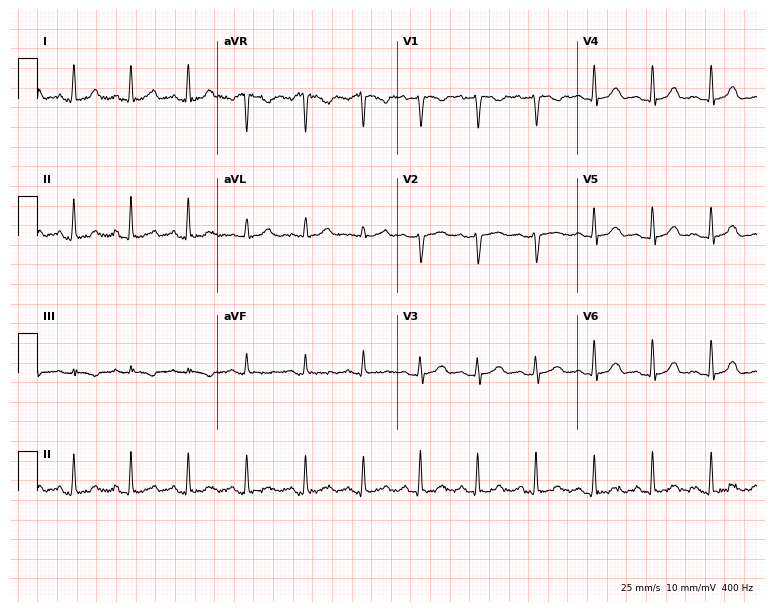
12-lead ECG (7.3-second recording at 400 Hz) from a female, 39 years old. Screened for six findings — first-degree AV block, right bundle branch block (RBBB), left bundle branch block (LBBB), sinus bradycardia, atrial fibrillation (AF), sinus tachycardia — none is recorded.